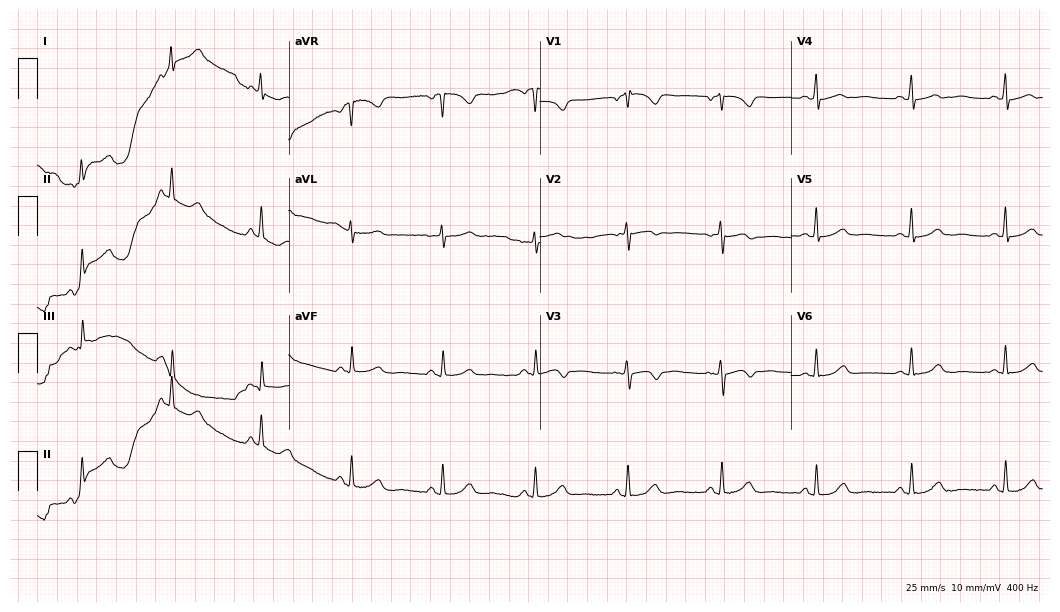
12-lead ECG from a 55-year-old female. No first-degree AV block, right bundle branch block (RBBB), left bundle branch block (LBBB), sinus bradycardia, atrial fibrillation (AF) or sinus tachycardia recorded for this tracing.